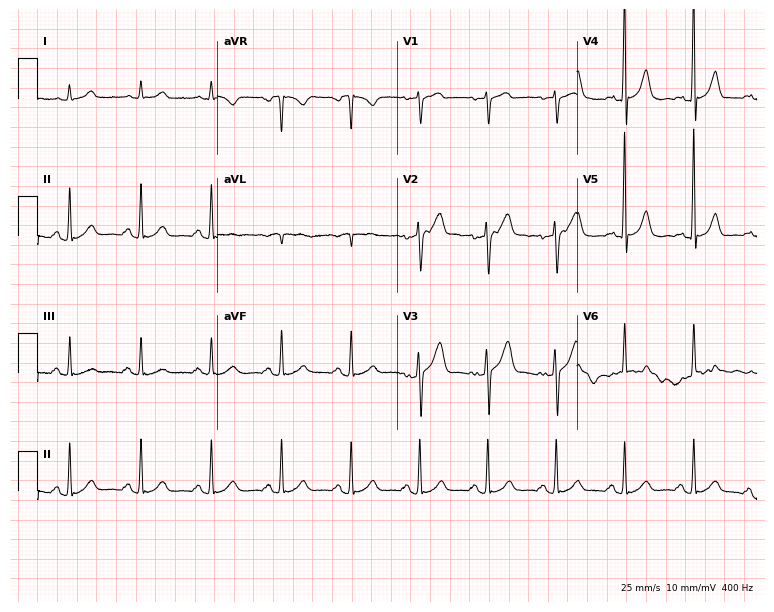
12-lead ECG from a male patient, 52 years old (7.3-second recording at 400 Hz). Recorded interpretation: within normal limits.